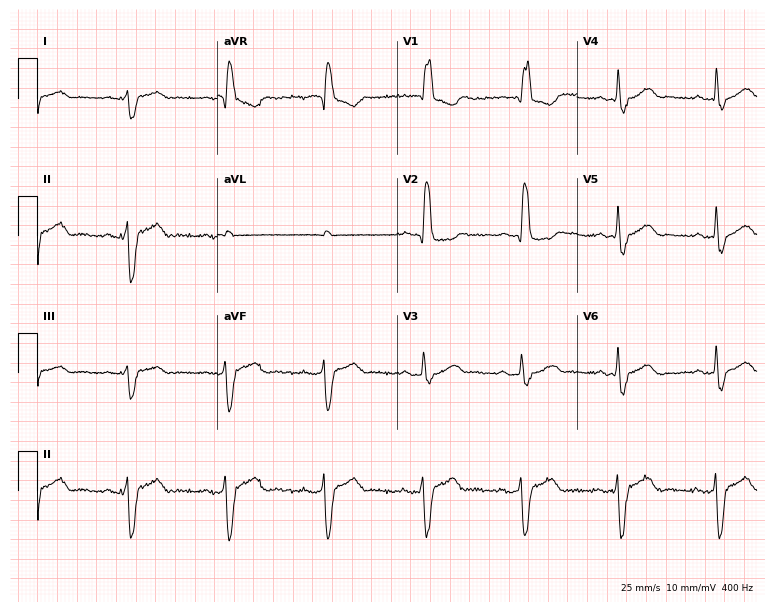
Electrocardiogram (7.3-second recording at 400 Hz), a 73-year-old woman. Interpretation includes right bundle branch block.